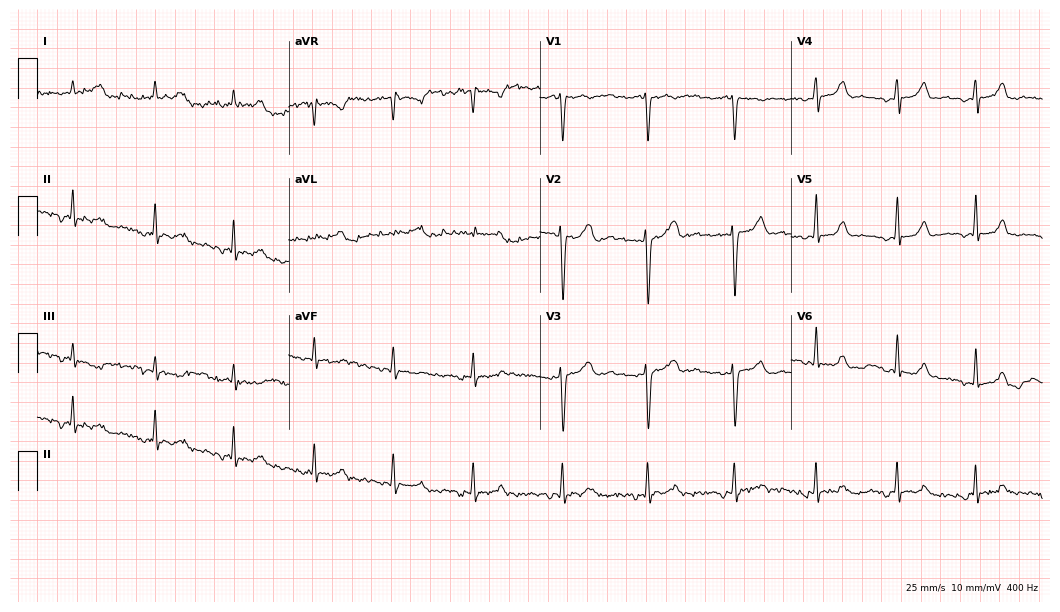
Electrocardiogram, a 35-year-old woman. Of the six screened findings (first-degree AV block, right bundle branch block, left bundle branch block, sinus bradycardia, atrial fibrillation, sinus tachycardia), none is recorded. Only these six findings were labelled.